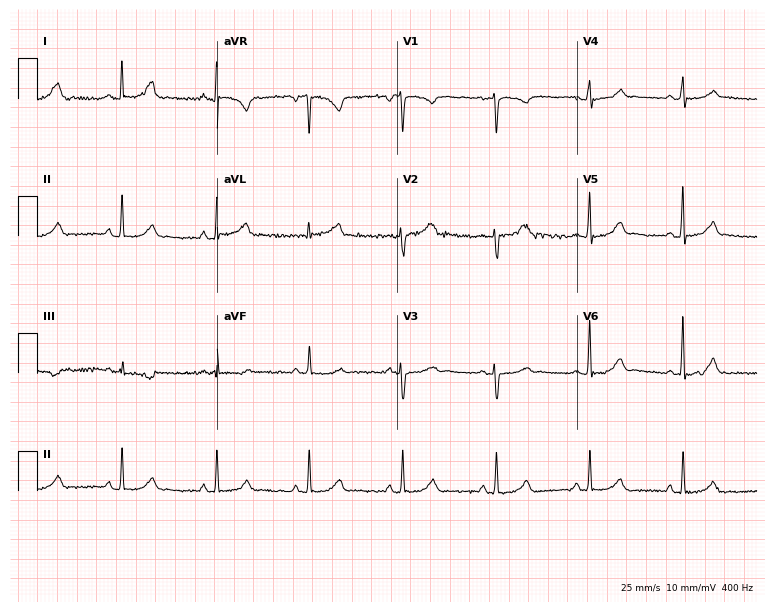
Resting 12-lead electrocardiogram. Patient: a woman, 46 years old. Read as a normal ECG.